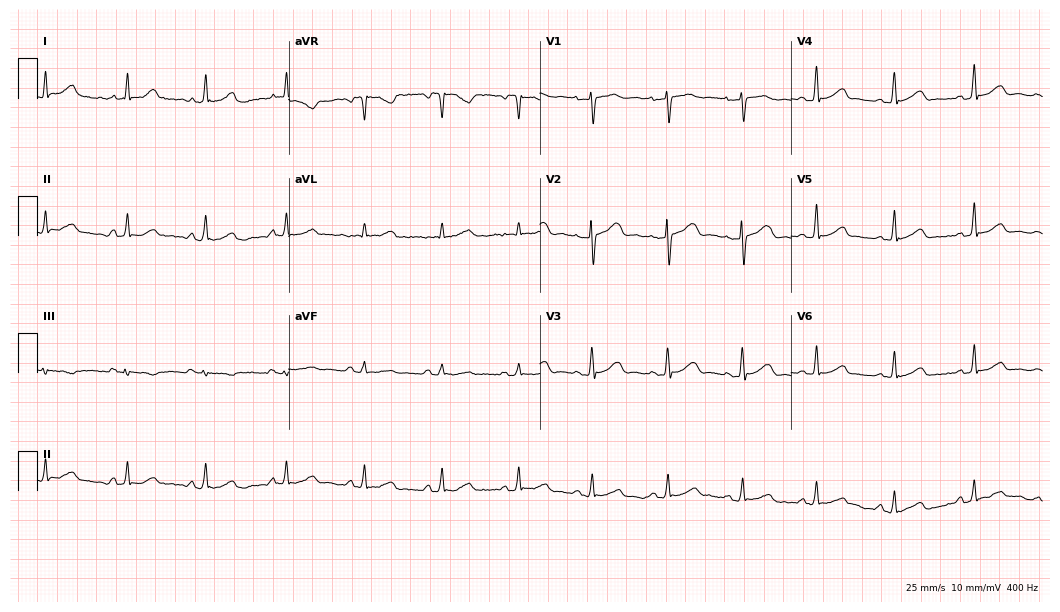
Resting 12-lead electrocardiogram (10.2-second recording at 400 Hz). Patient: a female, 26 years old. Read as a normal ECG.